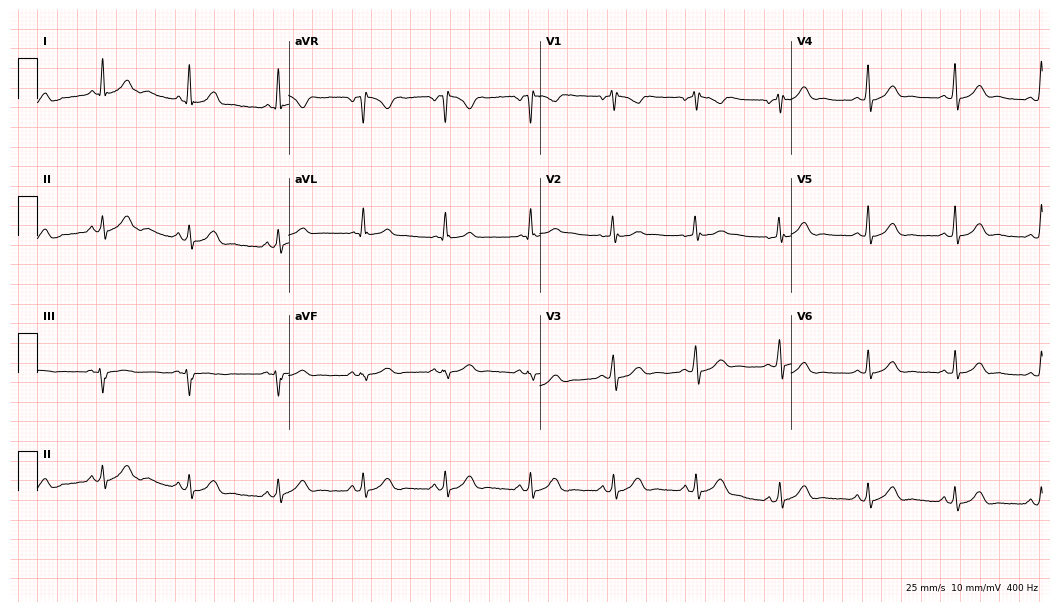
12-lead ECG from a woman, 39 years old. Labelled as a normal ECG.